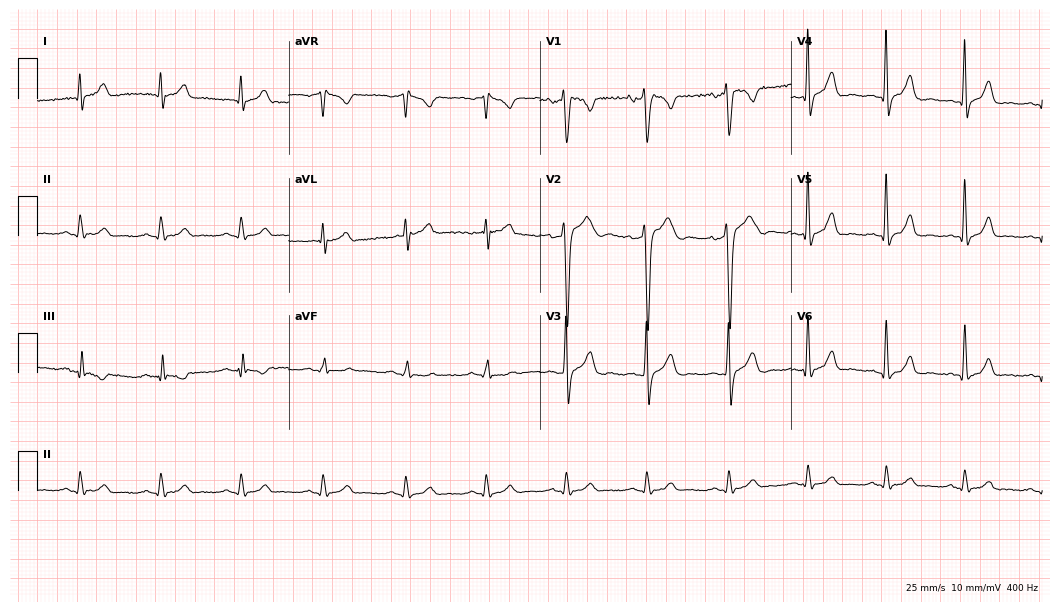
ECG (10.2-second recording at 400 Hz) — a 43-year-old male patient. Screened for six findings — first-degree AV block, right bundle branch block, left bundle branch block, sinus bradycardia, atrial fibrillation, sinus tachycardia — none is recorded. Only these six findings were labelled.